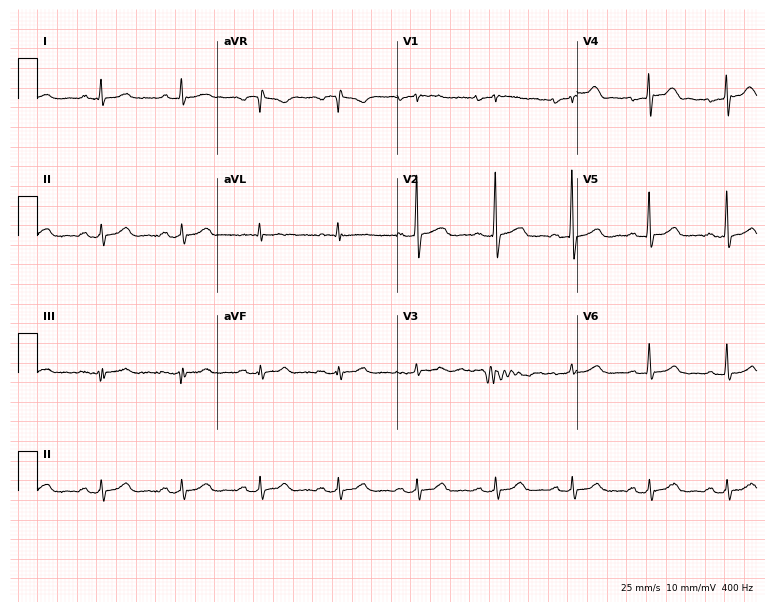
Resting 12-lead electrocardiogram. Patient: a 73-year-old male. Read as a normal ECG.